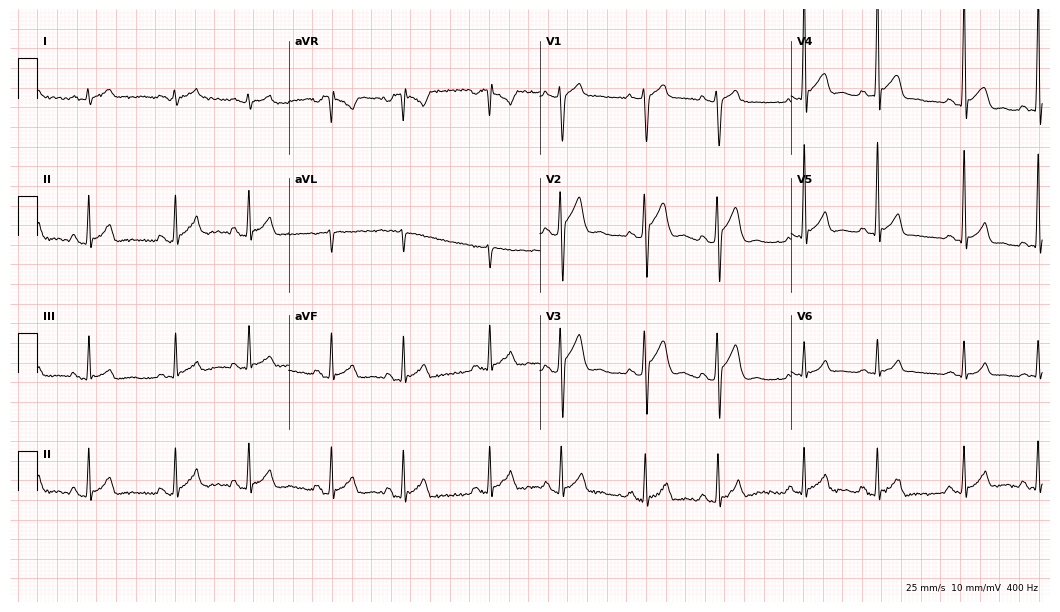
12-lead ECG from a man, 22 years old (10.2-second recording at 400 Hz). No first-degree AV block, right bundle branch block, left bundle branch block, sinus bradycardia, atrial fibrillation or sinus tachycardia recorded for this tracing. Only these six findings were labelled.